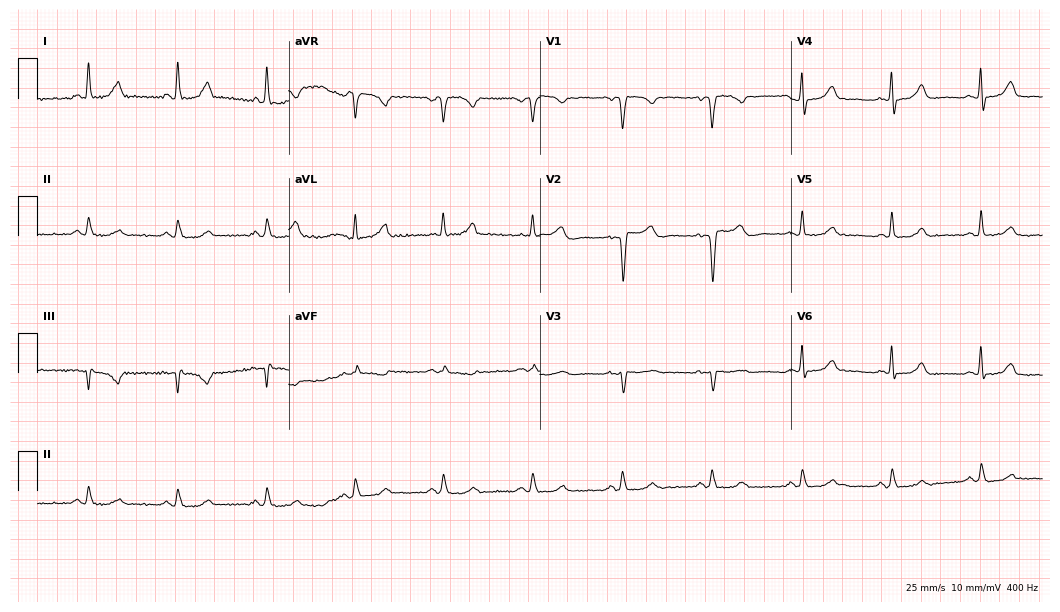
12-lead ECG from a woman, 55 years old. Screened for six findings — first-degree AV block, right bundle branch block, left bundle branch block, sinus bradycardia, atrial fibrillation, sinus tachycardia — none is recorded. Only these six findings were labelled.